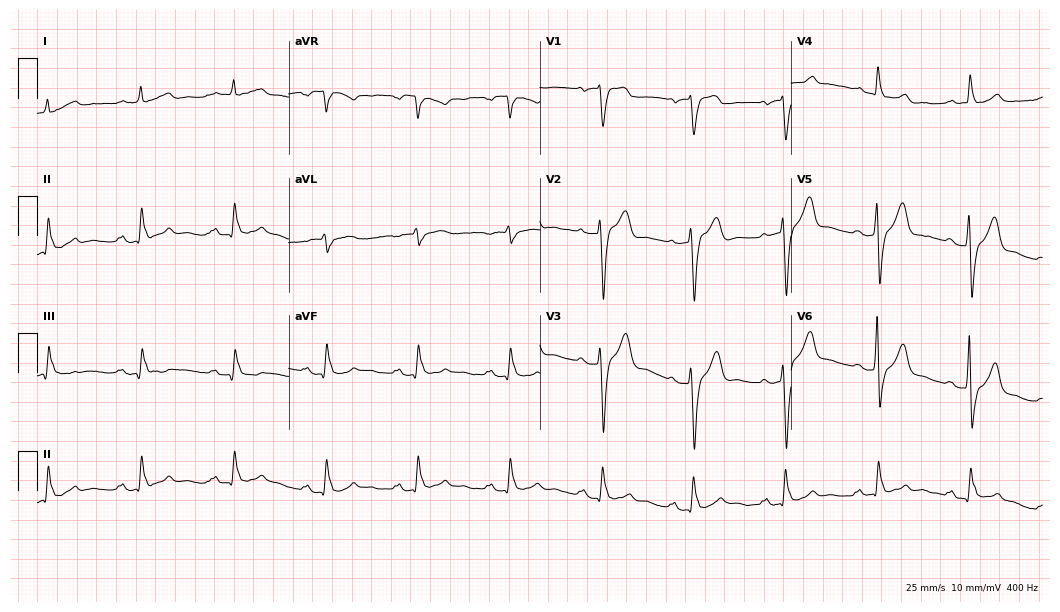
ECG — a male patient, 78 years old. Screened for six findings — first-degree AV block, right bundle branch block (RBBB), left bundle branch block (LBBB), sinus bradycardia, atrial fibrillation (AF), sinus tachycardia — none is recorded. Only these six findings were labelled.